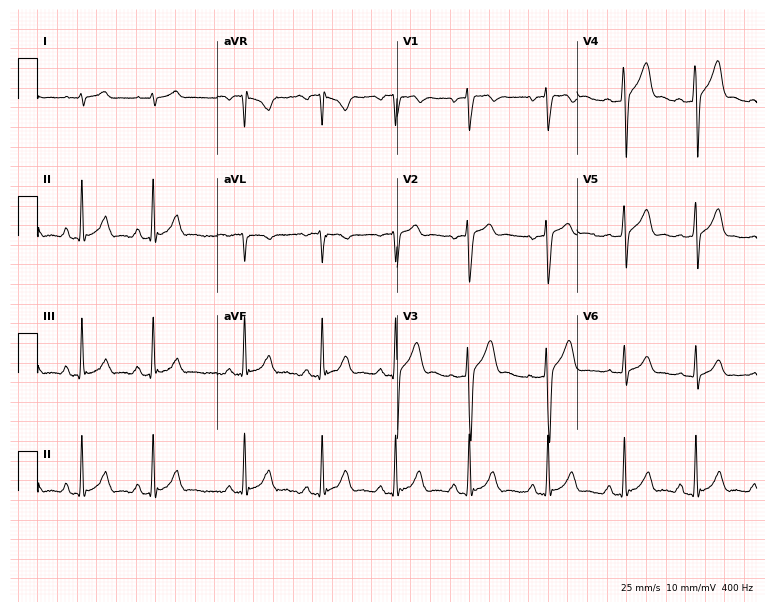
Resting 12-lead electrocardiogram. Patient: a 29-year-old man. Read as a normal ECG.